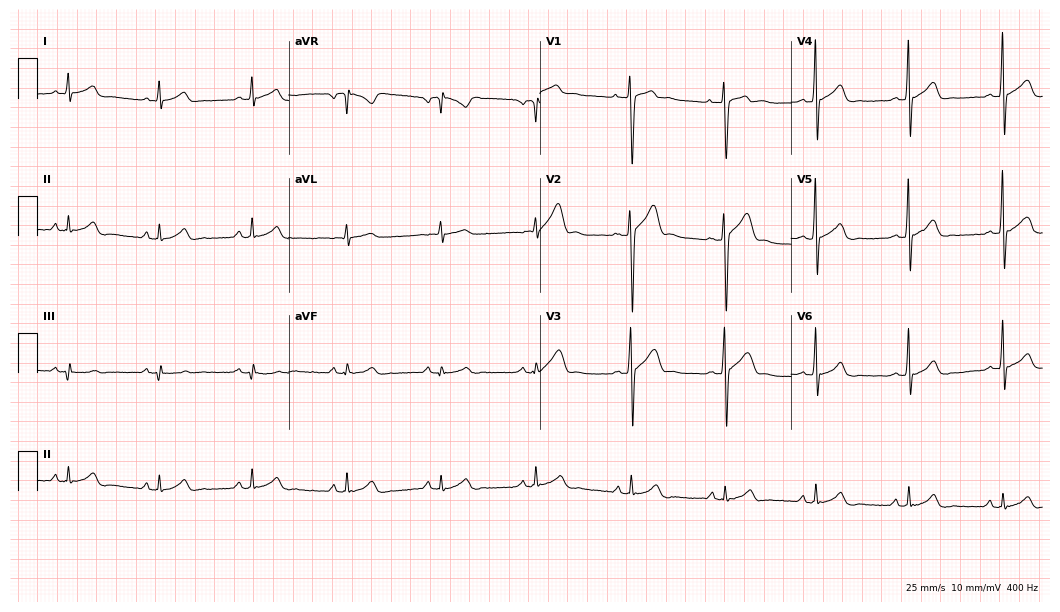
Resting 12-lead electrocardiogram (10.2-second recording at 400 Hz). Patient: a 27-year-old man. None of these six findings is recorded: first-degree AV block, right bundle branch block, left bundle branch block, sinus bradycardia, atrial fibrillation, sinus tachycardia. Findings outside these six are not listed.